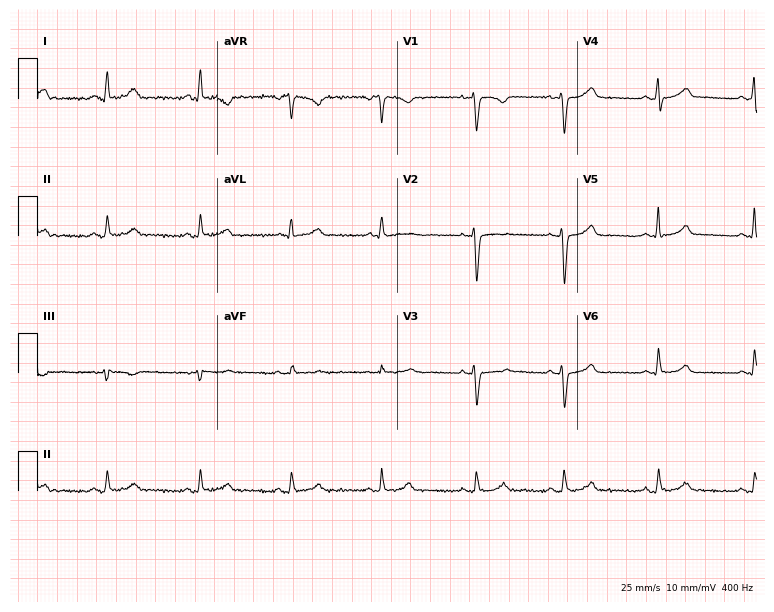
Standard 12-lead ECG recorded from a woman, 38 years old (7.3-second recording at 400 Hz). Read as a normal ECG.